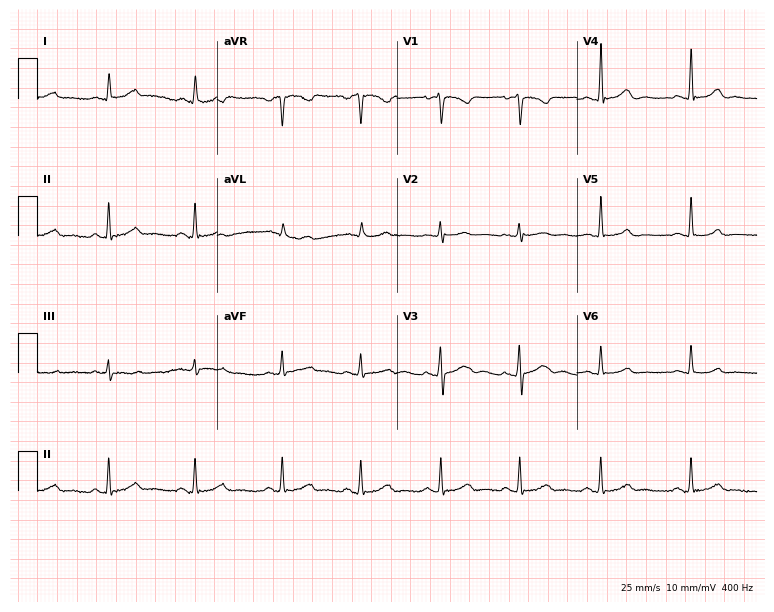
12-lead ECG from a 31-year-old woman. Recorded interpretation: within normal limits.